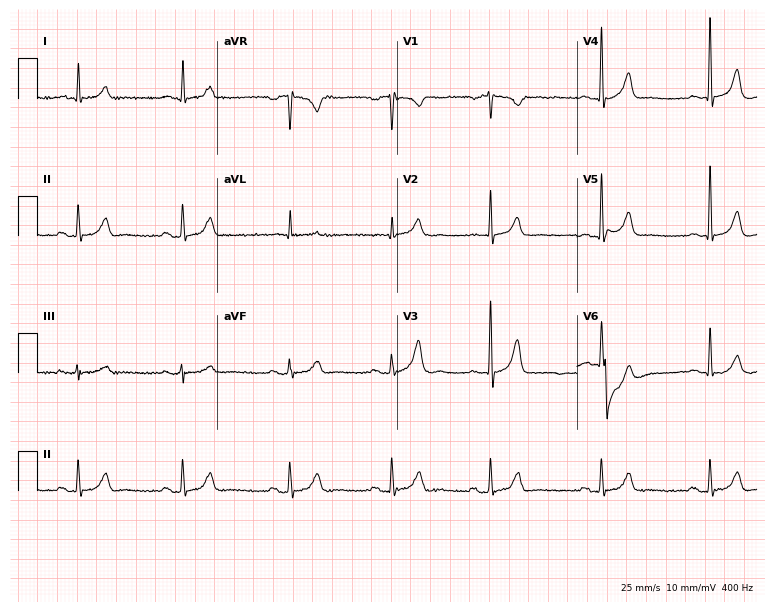
Standard 12-lead ECG recorded from an 82-year-old male patient. Read as a normal ECG.